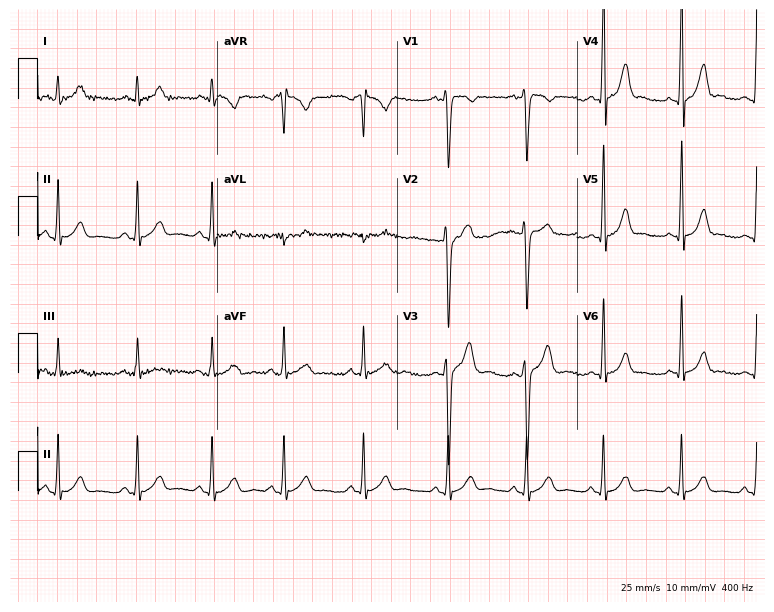
Electrocardiogram, a male, 18 years old. Overall reading on record: normal ECG.